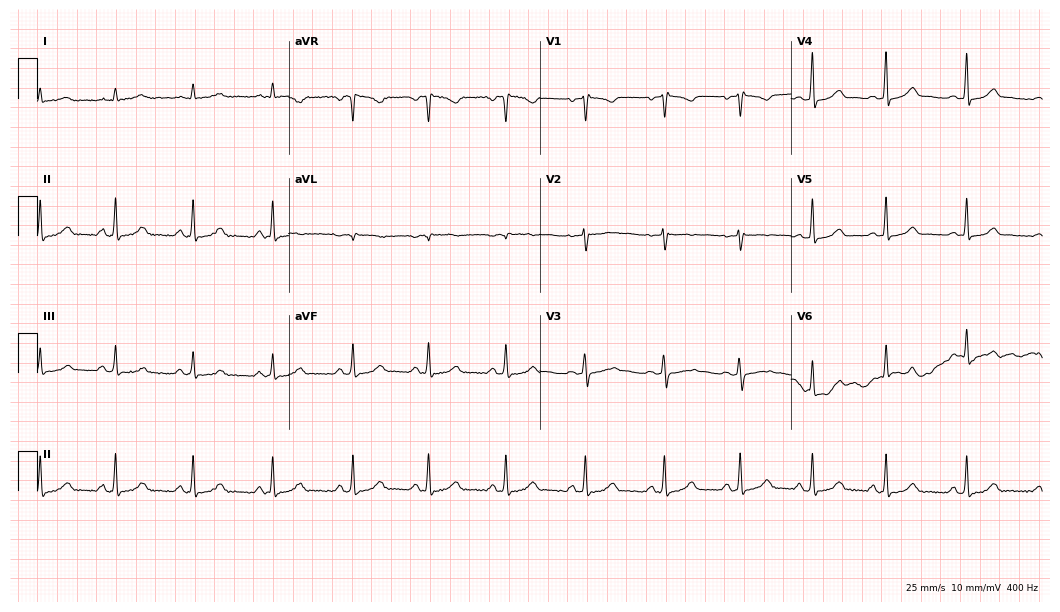
Standard 12-lead ECG recorded from a 30-year-old female patient (10.2-second recording at 400 Hz). None of these six findings is recorded: first-degree AV block, right bundle branch block, left bundle branch block, sinus bradycardia, atrial fibrillation, sinus tachycardia.